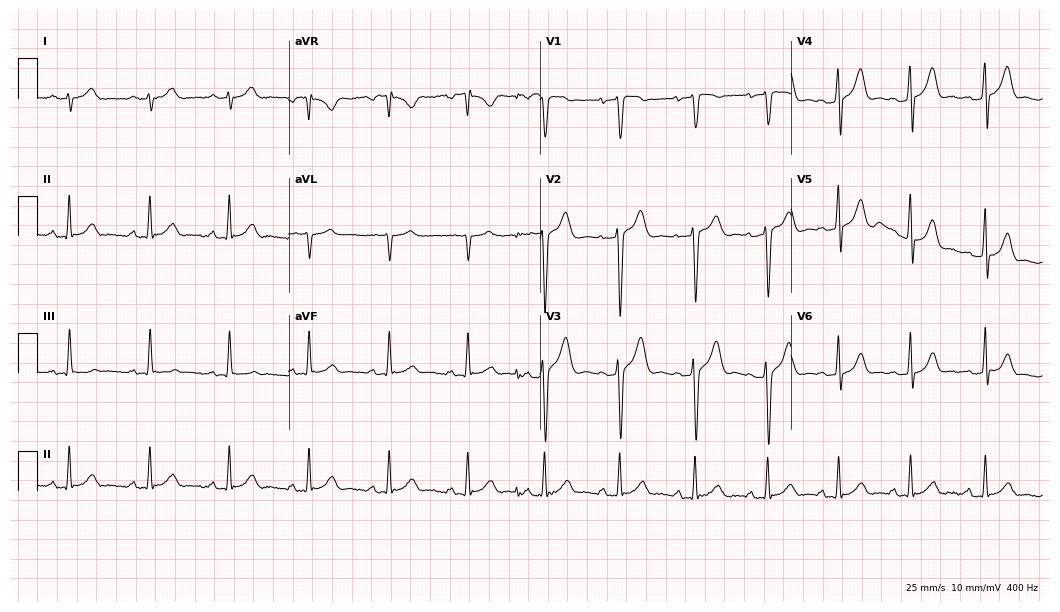
ECG (10.2-second recording at 400 Hz) — a man, 24 years old. Labelled as a normal ECG.